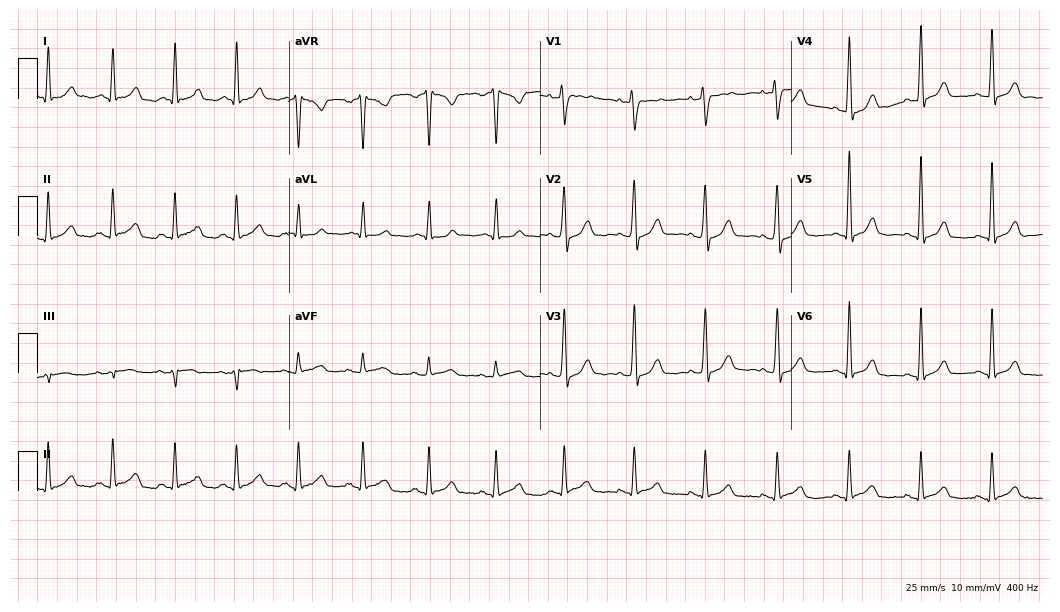
Resting 12-lead electrocardiogram (10.2-second recording at 400 Hz). Patient: a 56-year-old man. None of these six findings is recorded: first-degree AV block, right bundle branch block, left bundle branch block, sinus bradycardia, atrial fibrillation, sinus tachycardia.